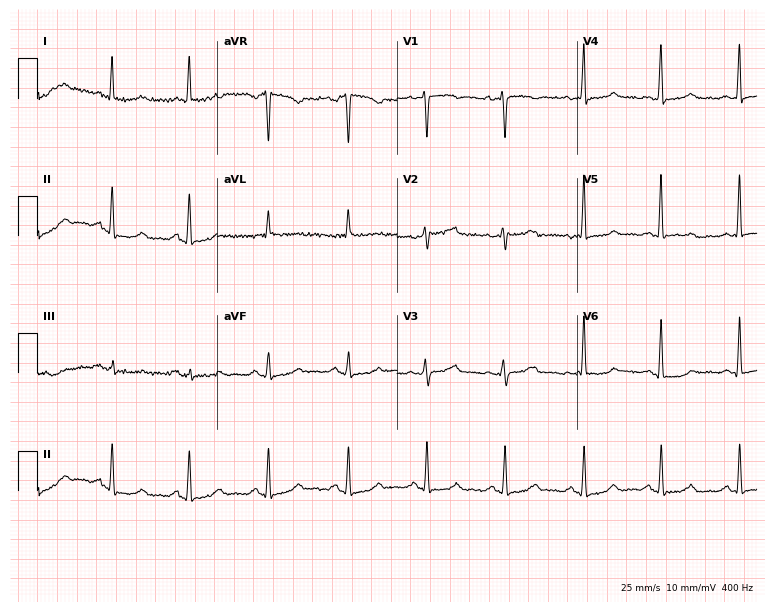
Electrocardiogram (7.3-second recording at 400 Hz), a female patient, 52 years old. Overall reading on record: normal ECG.